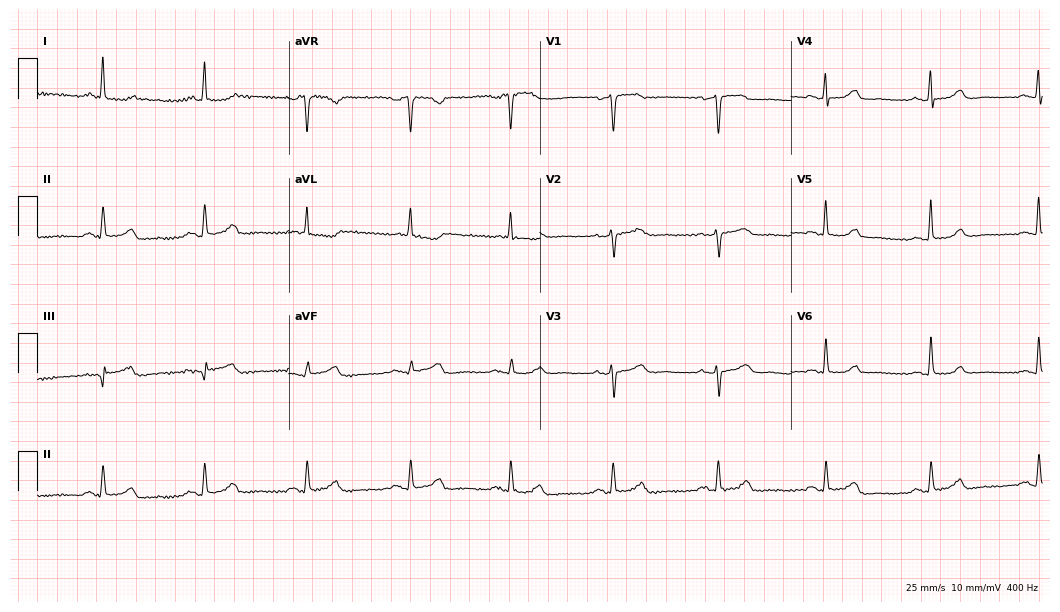
Electrocardiogram (10.2-second recording at 400 Hz), a 73-year-old woman. Of the six screened findings (first-degree AV block, right bundle branch block (RBBB), left bundle branch block (LBBB), sinus bradycardia, atrial fibrillation (AF), sinus tachycardia), none is recorded.